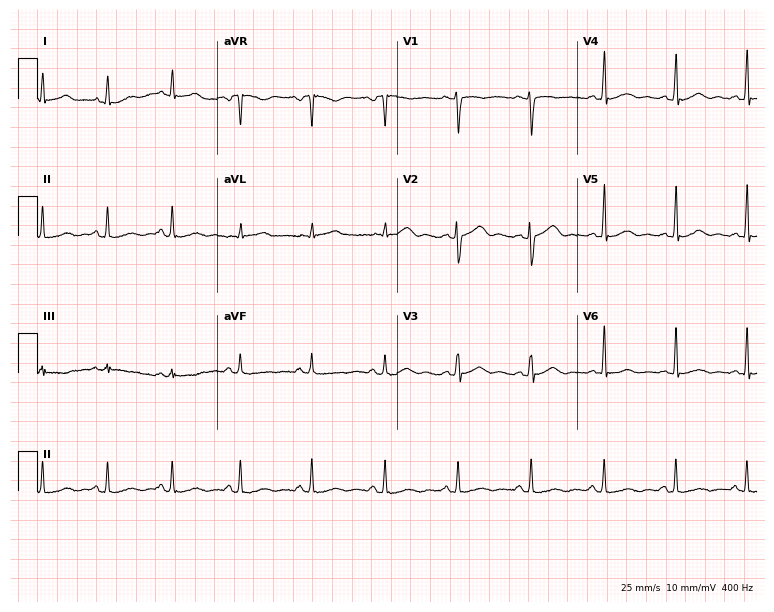
12-lead ECG from a female patient, 25 years old. Recorded interpretation: within normal limits.